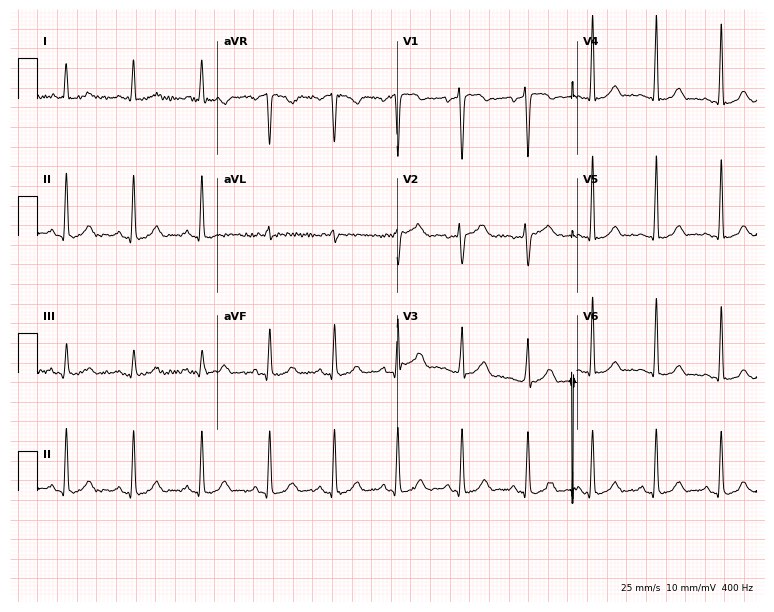
ECG (7.3-second recording at 400 Hz) — a 42-year-old female patient. Screened for six findings — first-degree AV block, right bundle branch block (RBBB), left bundle branch block (LBBB), sinus bradycardia, atrial fibrillation (AF), sinus tachycardia — none is recorded. Other findings, if any, are not listed.